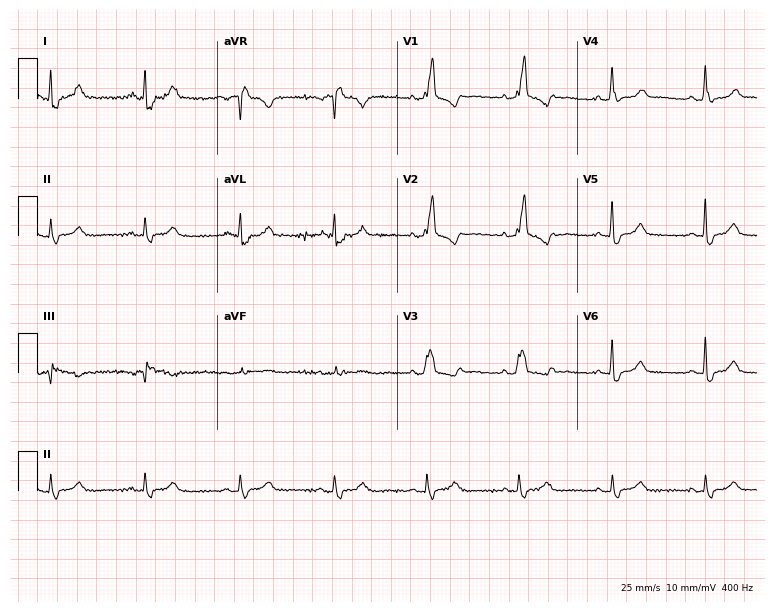
Resting 12-lead electrocardiogram. Patient: a 54-year-old female. The tracing shows right bundle branch block (RBBB).